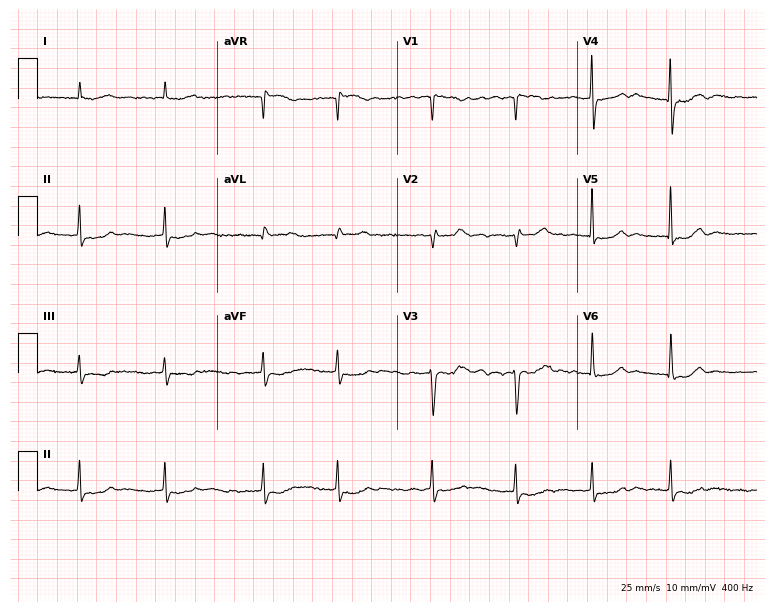
Electrocardiogram (7.3-second recording at 400 Hz), a female patient, 85 years old. Interpretation includes atrial fibrillation (AF).